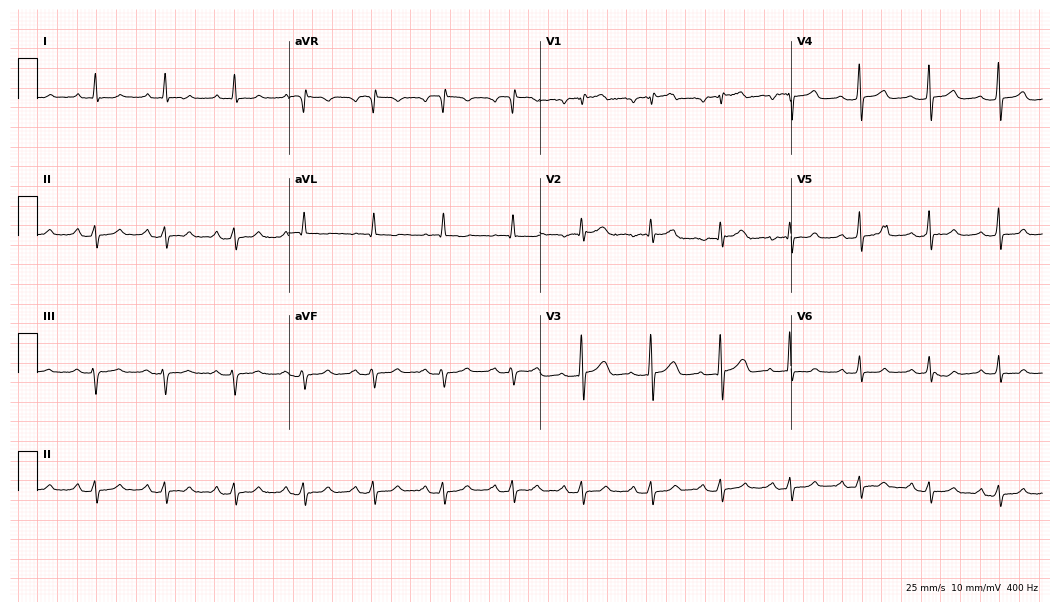
12-lead ECG from a 54-year-old man. Shows first-degree AV block.